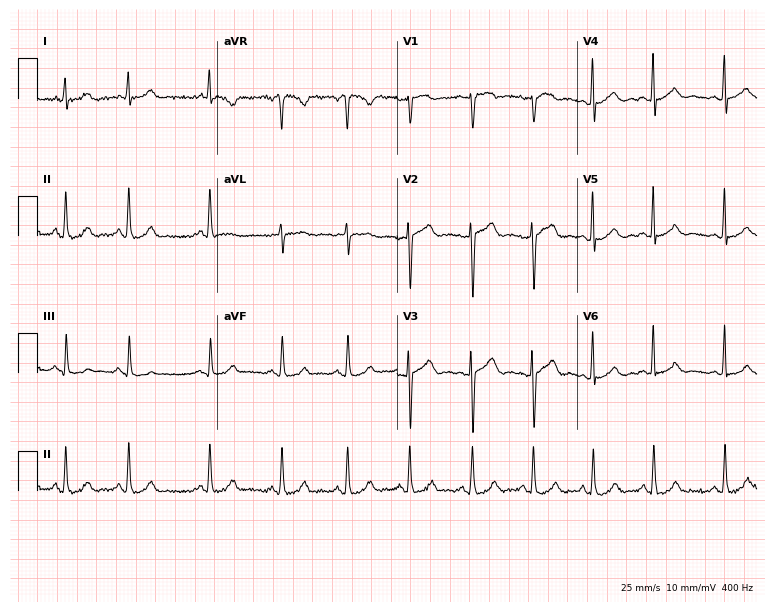
Electrocardiogram (7.3-second recording at 400 Hz), a 38-year-old female. Overall reading on record: normal ECG.